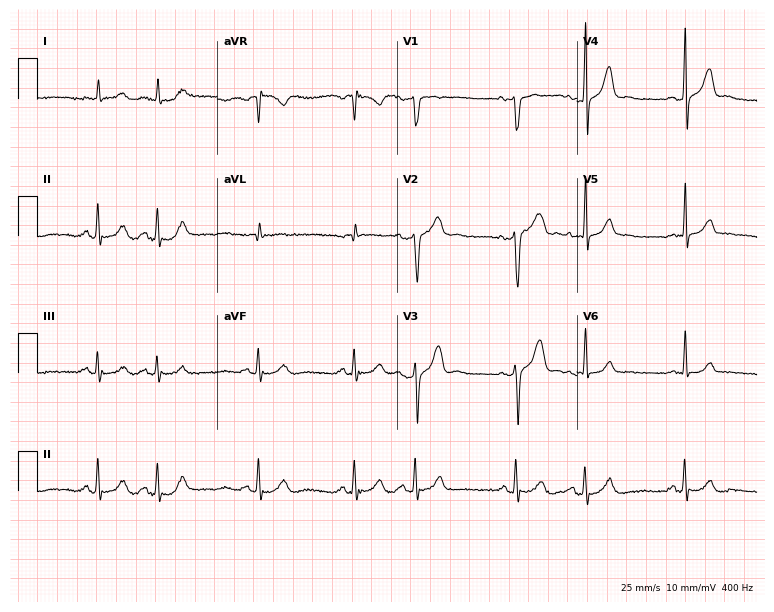
12-lead ECG from a 63-year-old male (7.3-second recording at 400 Hz). No first-degree AV block, right bundle branch block, left bundle branch block, sinus bradycardia, atrial fibrillation or sinus tachycardia recorded for this tracing.